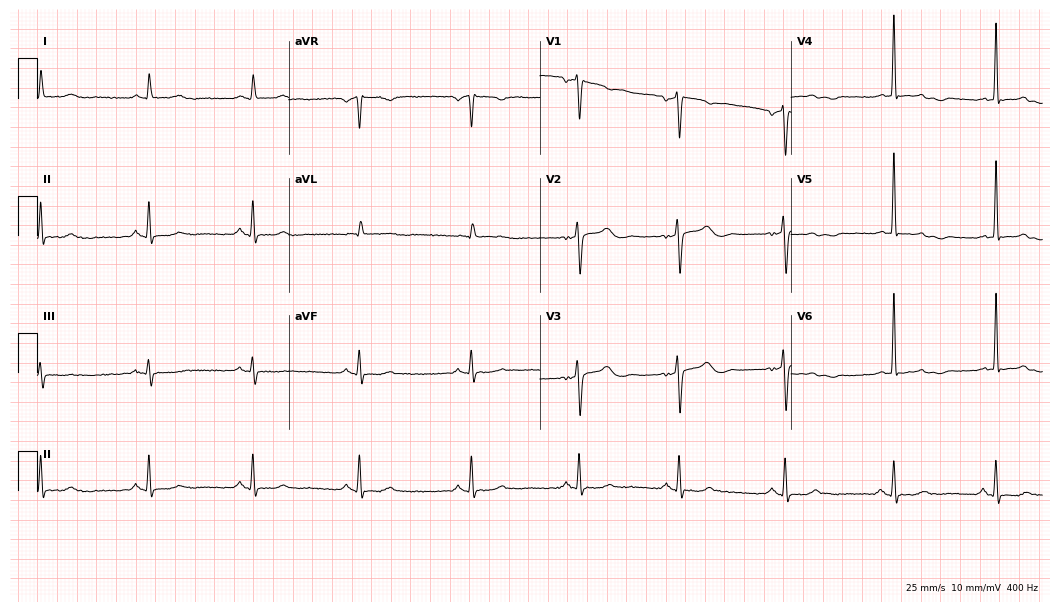
Resting 12-lead electrocardiogram (10.2-second recording at 400 Hz). Patient: a male, 65 years old. Read as a normal ECG.